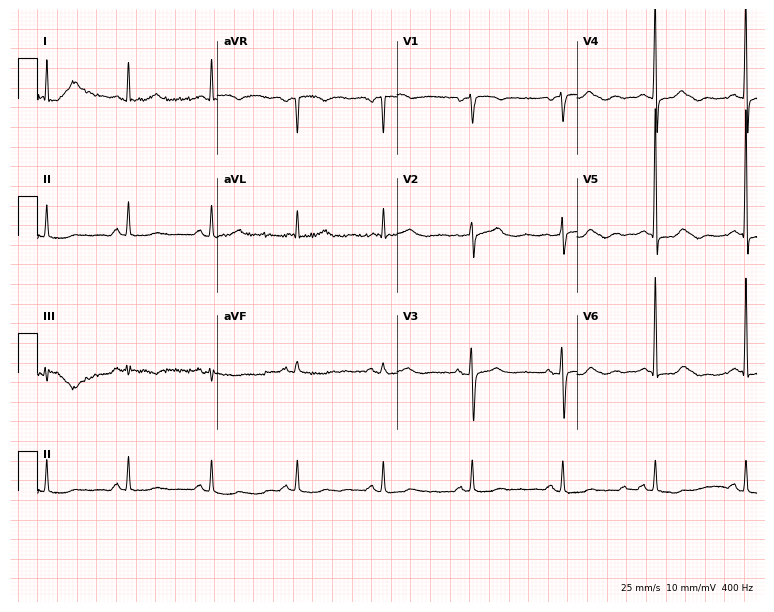
12-lead ECG from a female, 69 years old. No first-degree AV block, right bundle branch block (RBBB), left bundle branch block (LBBB), sinus bradycardia, atrial fibrillation (AF) or sinus tachycardia recorded for this tracing. Other findings, if any, are not listed.